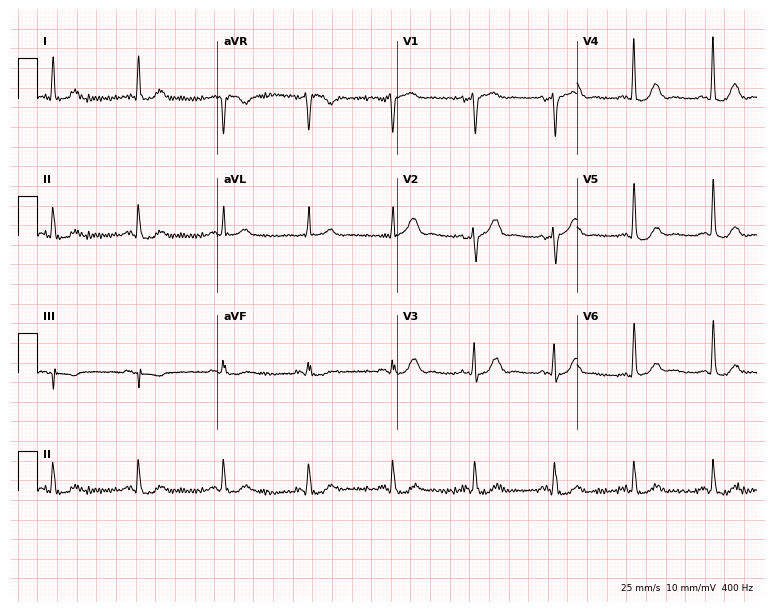
ECG (7.3-second recording at 400 Hz) — a female patient, 84 years old. Labelled as a normal ECG.